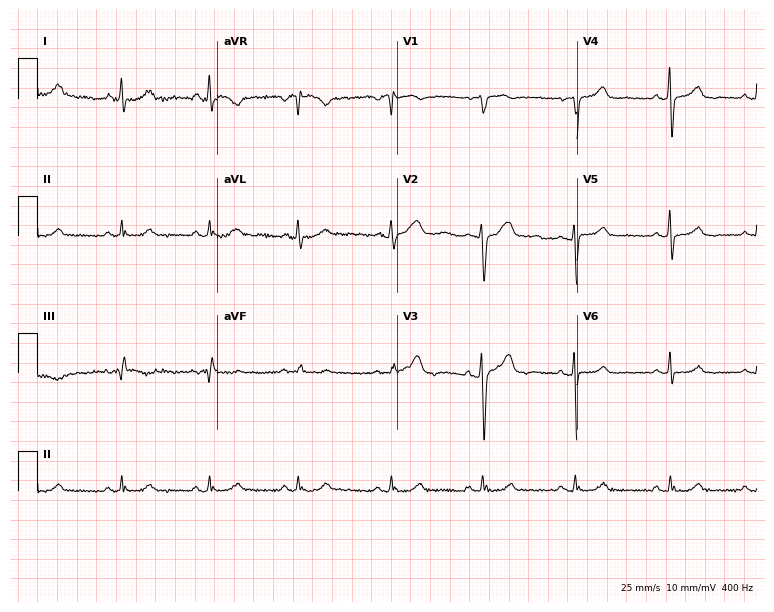
Standard 12-lead ECG recorded from a woman, 65 years old. None of these six findings is recorded: first-degree AV block, right bundle branch block, left bundle branch block, sinus bradycardia, atrial fibrillation, sinus tachycardia. Other findings, if any, are not listed.